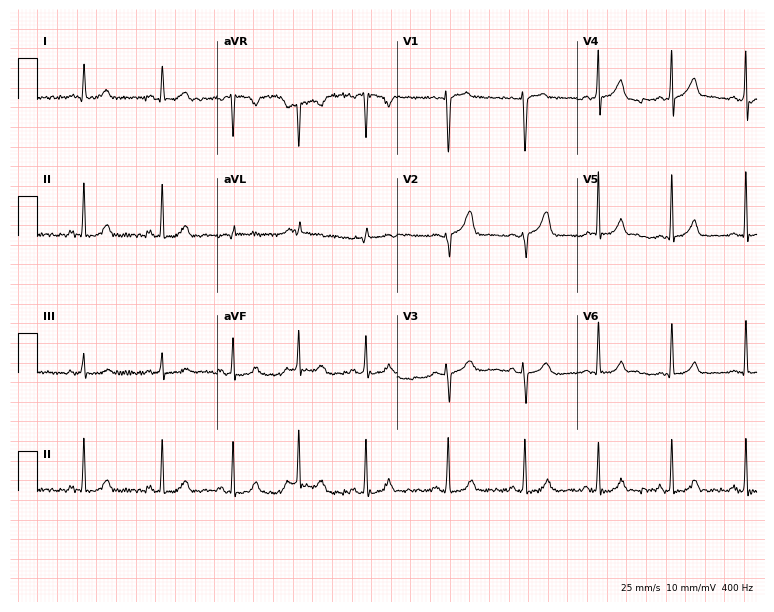
Resting 12-lead electrocardiogram. Patient: a female, 32 years old. None of these six findings is recorded: first-degree AV block, right bundle branch block, left bundle branch block, sinus bradycardia, atrial fibrillation, sinus tachycardia.